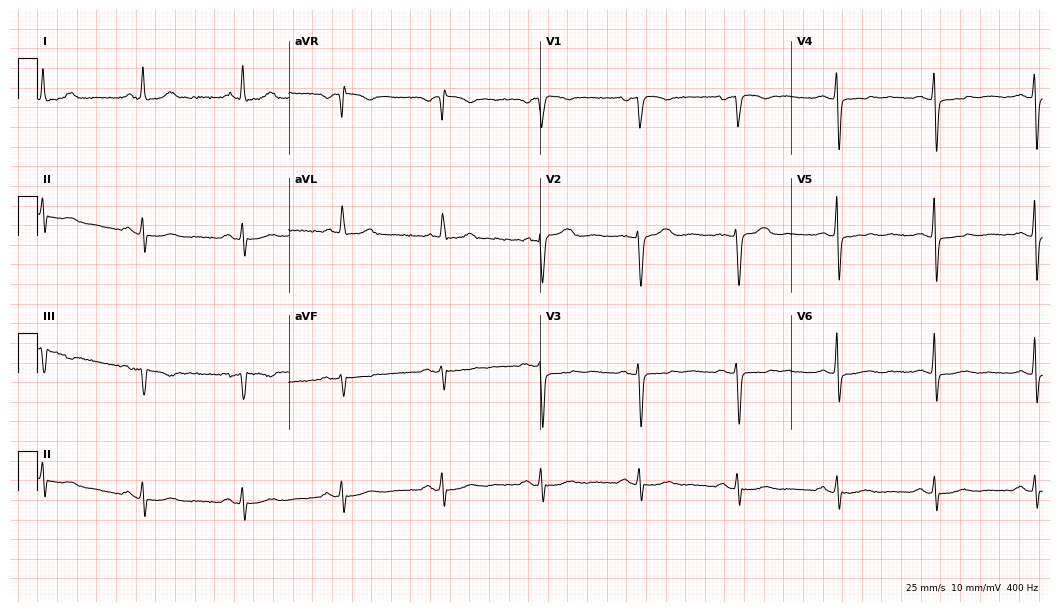
Standard 12-lead ECG recorded from a 55-year-old female patient (10.2-second recording at 400 Hz). None of these six findings is recorded: first-degree AV block, right bundle branch block (RBBB), left bundle branch block (LBBB), sinus bradycardia, atrial fibrillation (AF), sinus tachycardia.